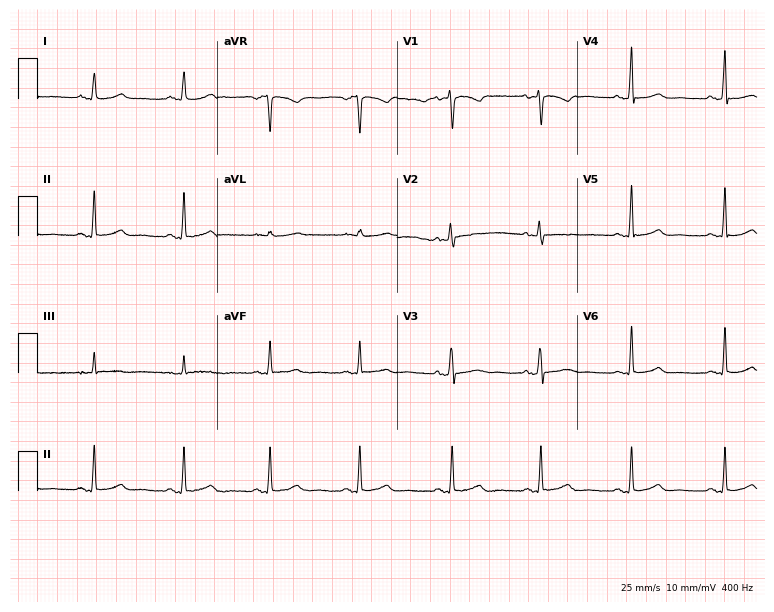
Standard 12-lead ECG recorded from a 38-year-old female (7.3-second recording at 400 Hz). Read as a normal ECG.